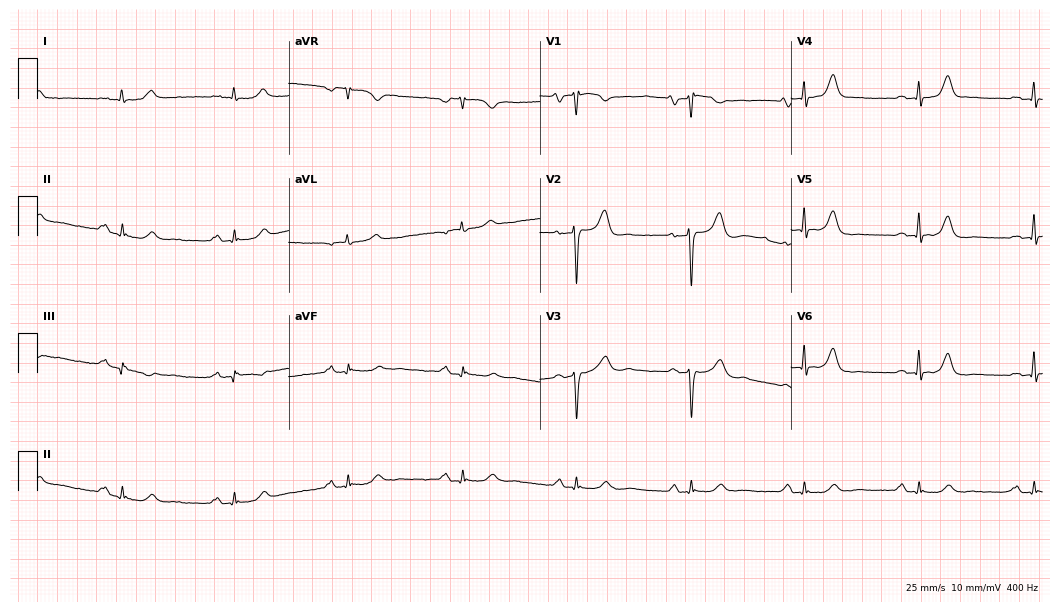
12-lead ECG from a female, 75 years old. No first-degree AV block, right bundle branch block (RBBB), left bundle branch block (LBBB), sinus bradycardia, atrial fibrillation (AF) or sinus tachycardia recorded for this tracing.